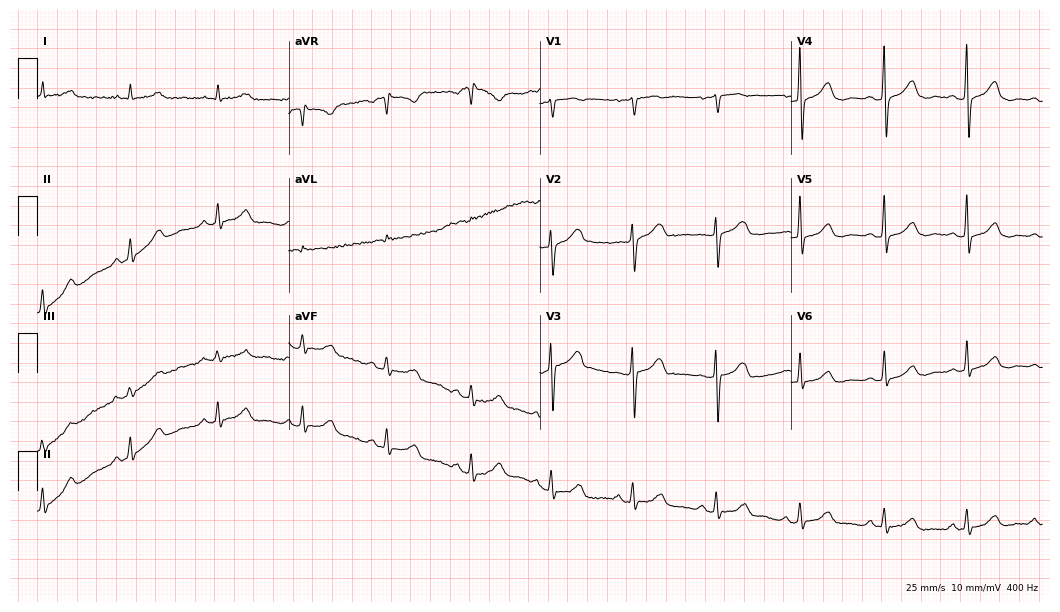
ECG — a woman, 73 years old. Screened for six findings — first-degree AV block, right bundle branch block (RBBB), left bundle branch block (LBBB), sinus bradycardia, atrial fibrillation (AF), sinus tachycardia — none is recorded.